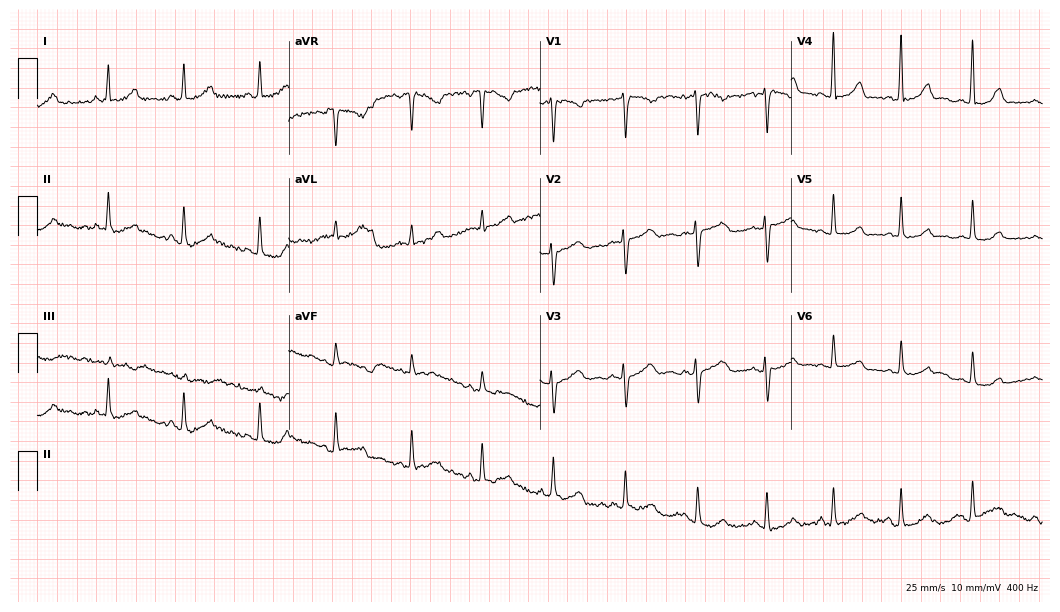
Electrocardiogram (10.2-second recording at 400 Hz), a 46-year-old woman. Overall reading on record: normal ECG.